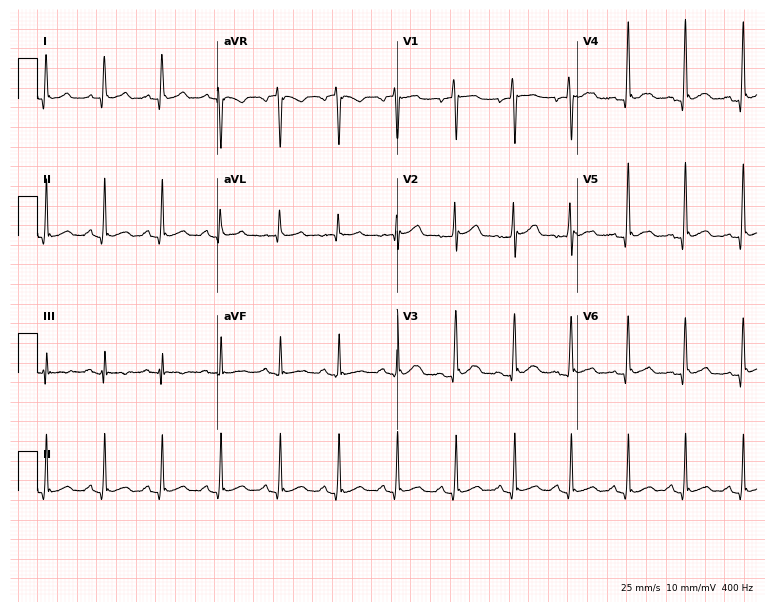
12-lead ECG from a 37-year-old male patient. Labelled as a normal ECG.